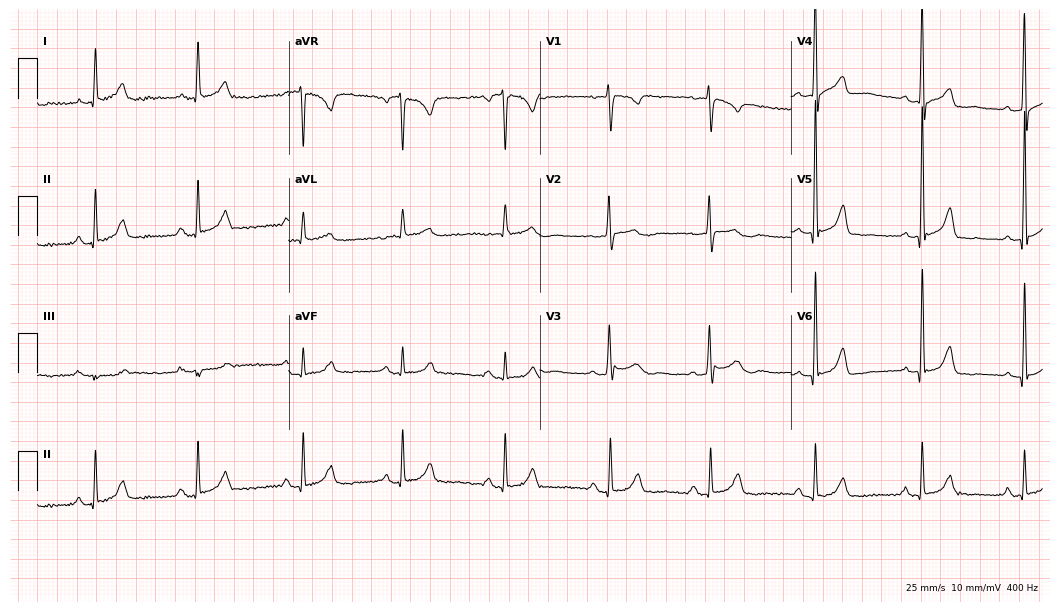
Standard 12-lead ECG recorded from a female patient, 48 years old (10.2-second recording at 400 Hz). Read as a normal ECG.